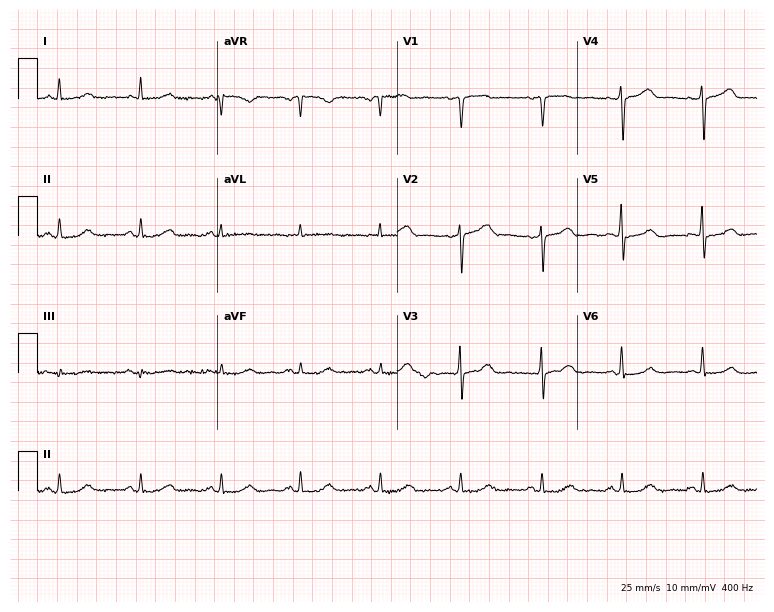
Resting 12-lead electrocardiogram (7.3-second recording at 400 Hz). Patient: a 65-year-old female. None of these six findings is recorded: first-degree AV block, right bundle branch block, left bundle branch block, sinus bradycardia, atrial fibrillation, sinus tachycardia.